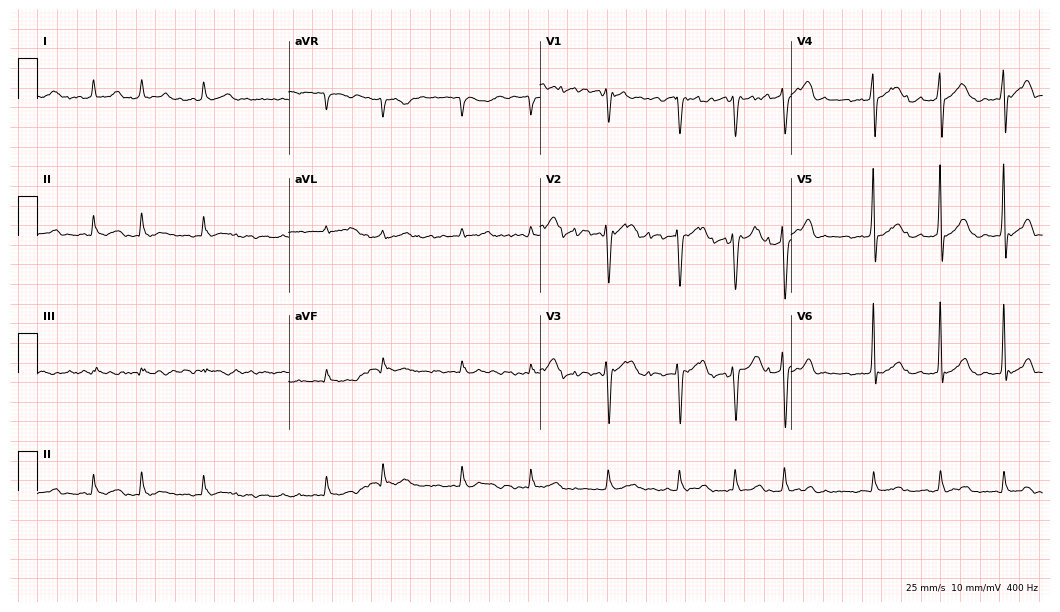
12-lead ECG (10.2-second recording at 400 Hz) from a male, 70 years old. Findings include atrial fibrillation.